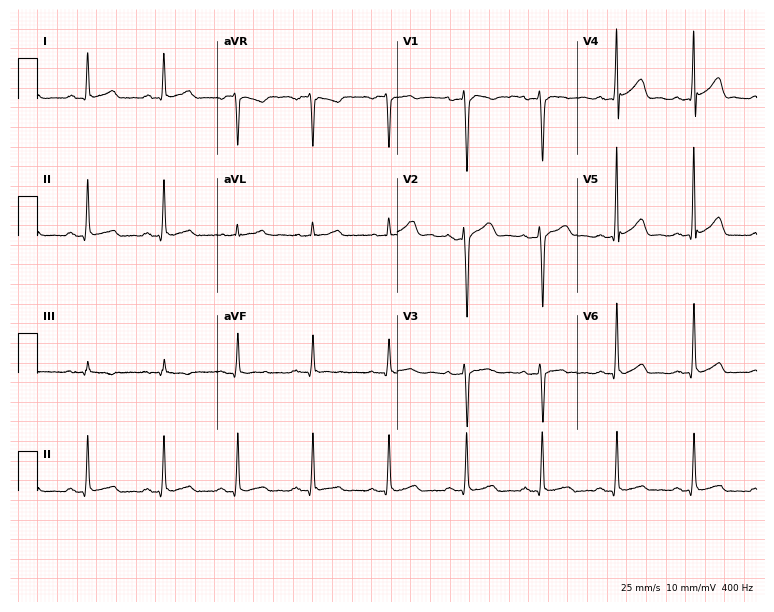
ECG (7.3-second recording at 400 Hz) — a female patient, 29 years old. Labelled as a normal ECG.